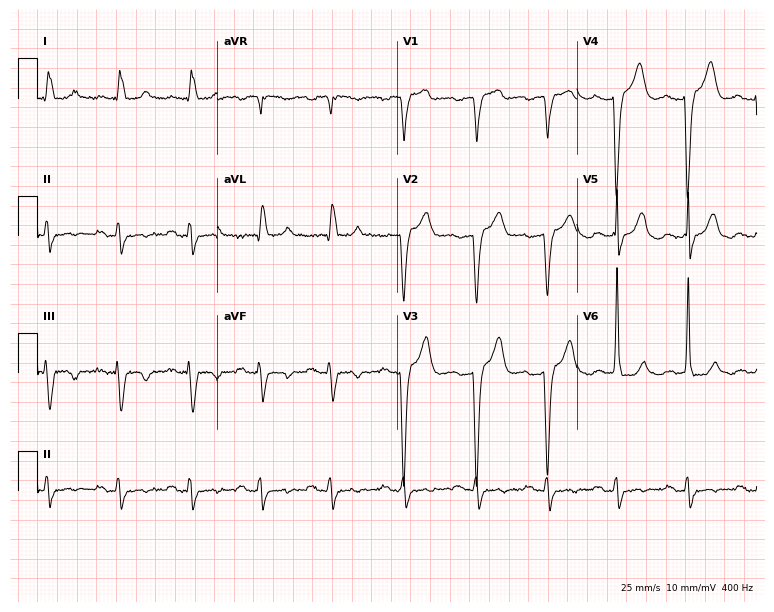
Electrocardiogram, a woman, 76 years old. Of the six screened findings (first-degree AV block, right bundle branch block, left bundle branch block, sinus bradycardia, atrial fibrillation, sinus tachycardia), none is recorded. Findings outside these six are not listed.